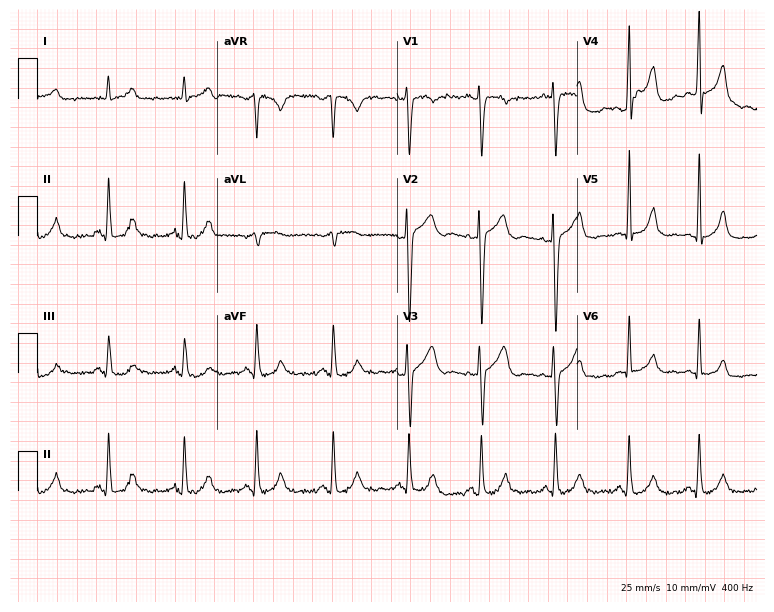
Standard 12-lead ECG recorded from a male, 27 years old. Read as a normal ECG.